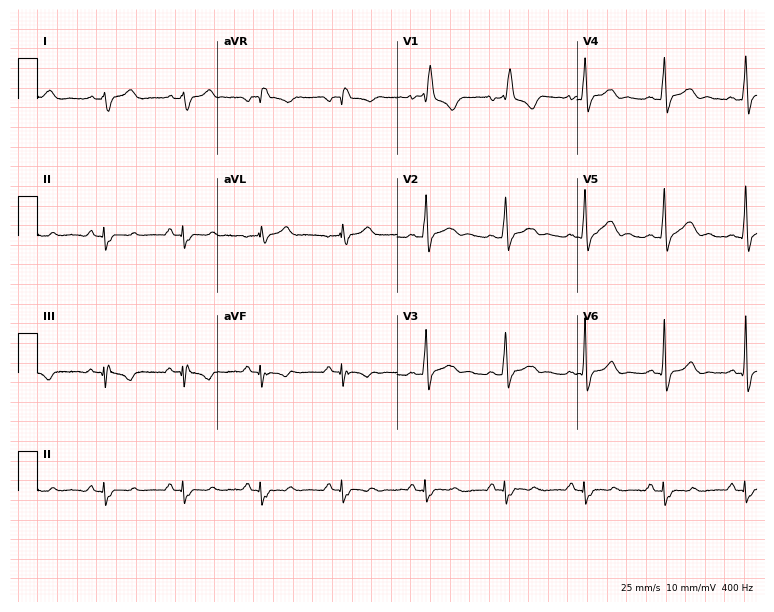
Standard 12-lead ECG recorded from a 36-year-old man. The tracing shows right bundle branch block (RBBB).